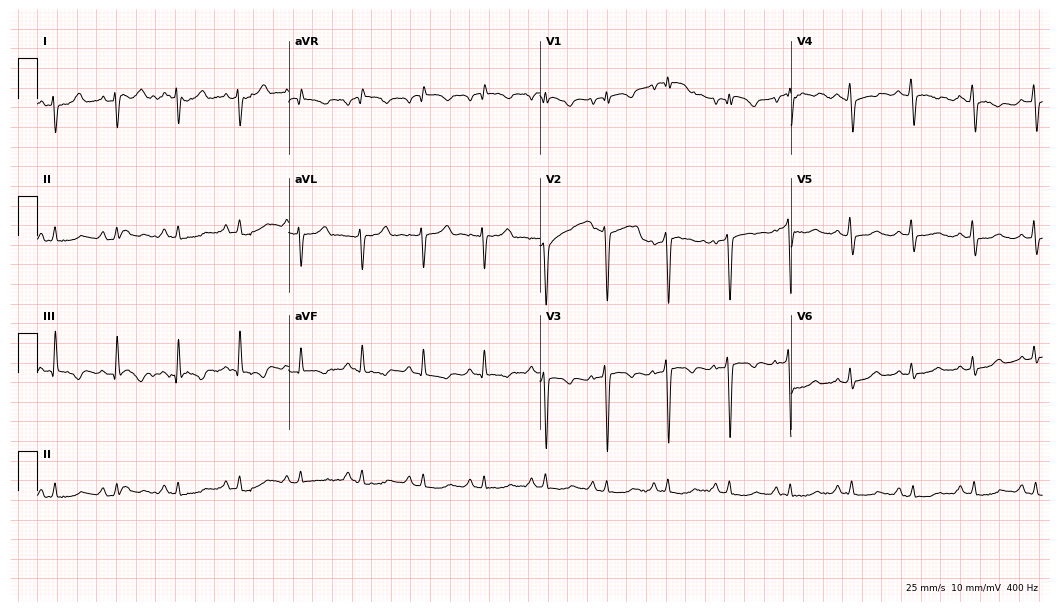
Standard 12-lead ECG recorded from a male patient, 68 years old. None of these six findings is recorded: first-degree AV block, right bundle branch block (RBBB), left bundle branch block (LBBB), sinus bradycardia, atrial fibrillation (AF), sinus tachycardia. Findings outside these six are not listed.